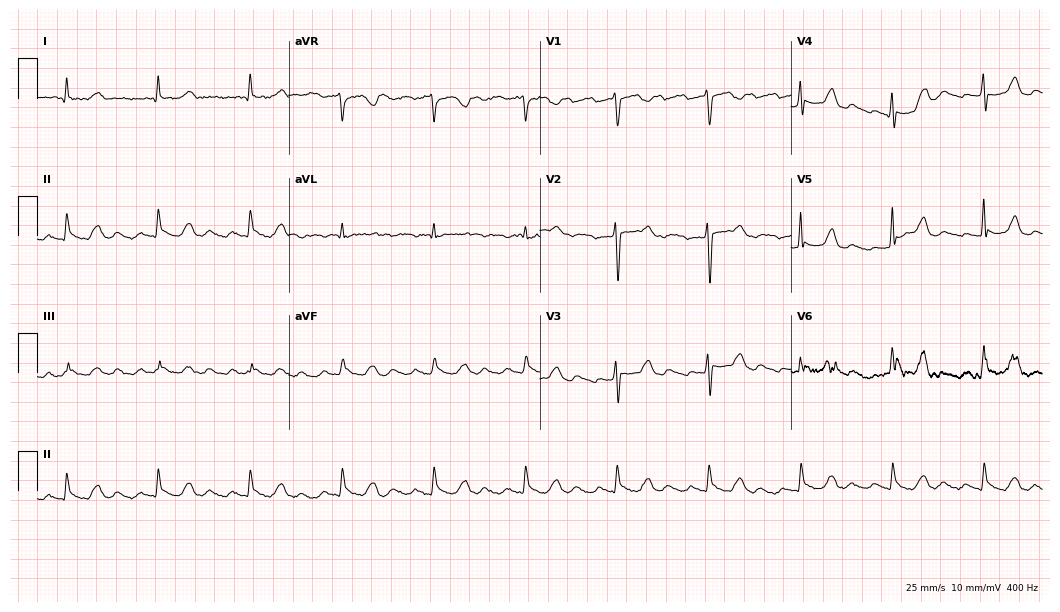
ECG (10.2-second recording at 400 Hz) — a female patient, 45 years old. Screened for six findings — first-degree AV block, right bundle branch block, left bundle branch block, sinus bradycardia, atrial fibrillation, sinus tachycardia — none is recorded. Findings outside these six are not listed.